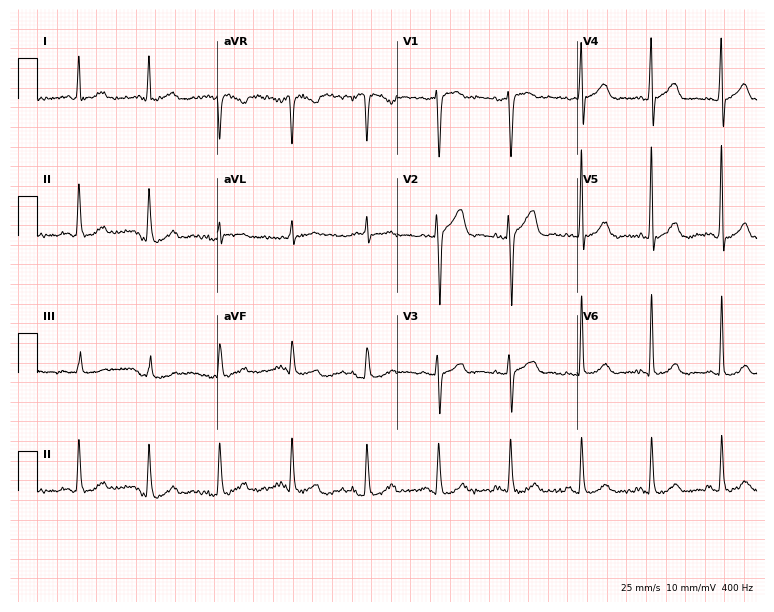
12-lead ECG from a 27-year-old man. Labelled as a normal ECG.